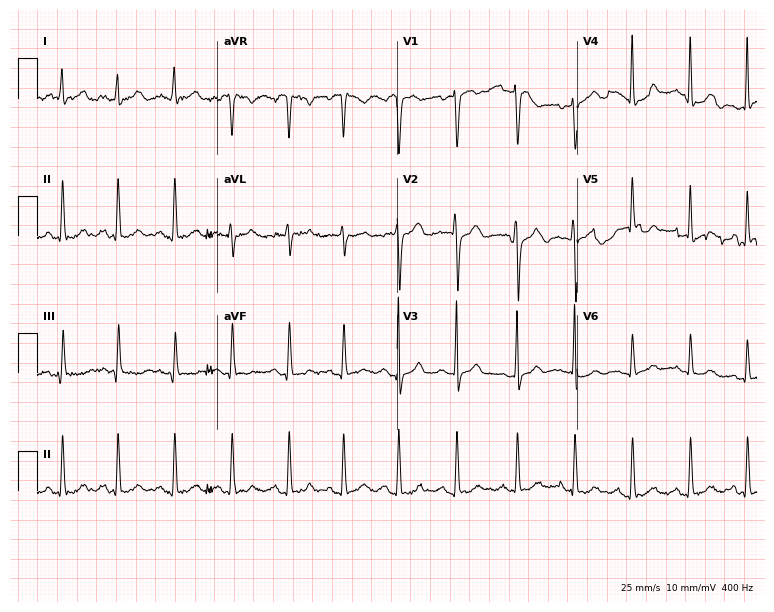
Resting 12-lead electrocardiogram. Patient: a 35-year-old female. Read as a normal ECG.